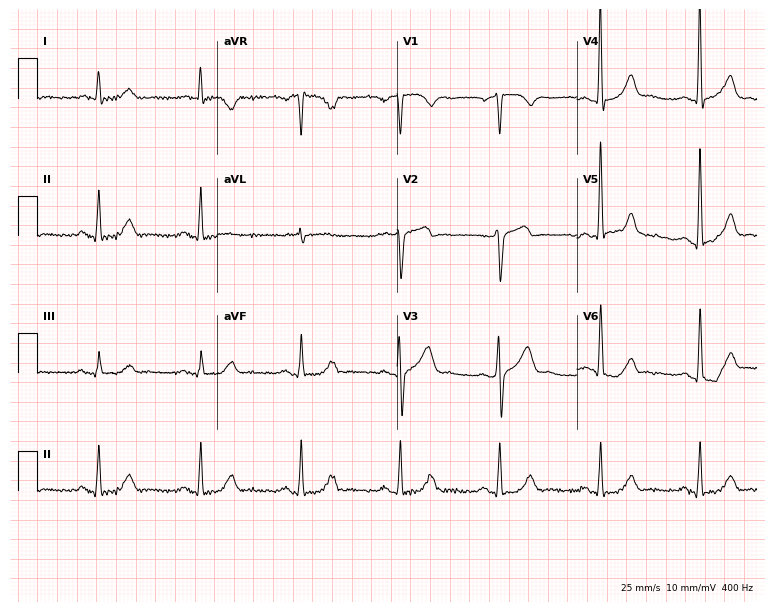
12-lead ECG from a male, 70 years old. Recorded interpretation: within normal limits.